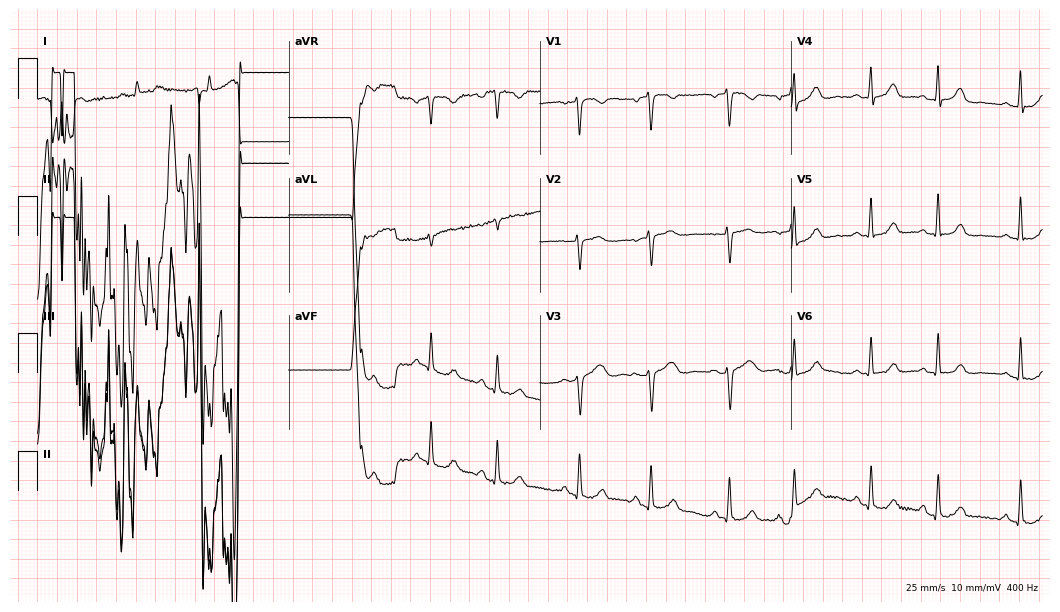
Electrocardiogram (10.2-second recording at 400 Hz), a woman, 47 years old. Of the six screened findings (first-degree AV block, right bundle branch block, left bundle branch block, sinus bradycardia, atrial fibrillation, sinus tachycardia), none is recorded.